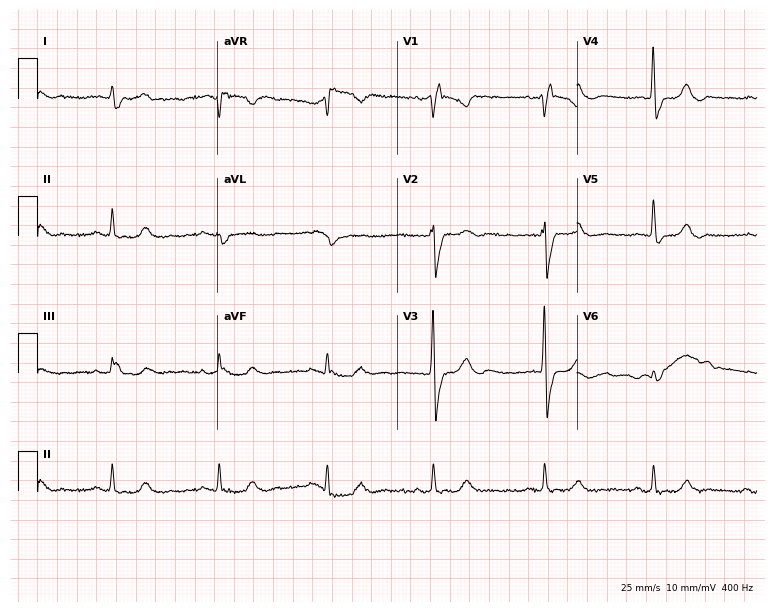
ECG (7.3-second recording at 400 Hz) — a 72-year-old male. Findings include first-degree AV block, right bundle branch block.